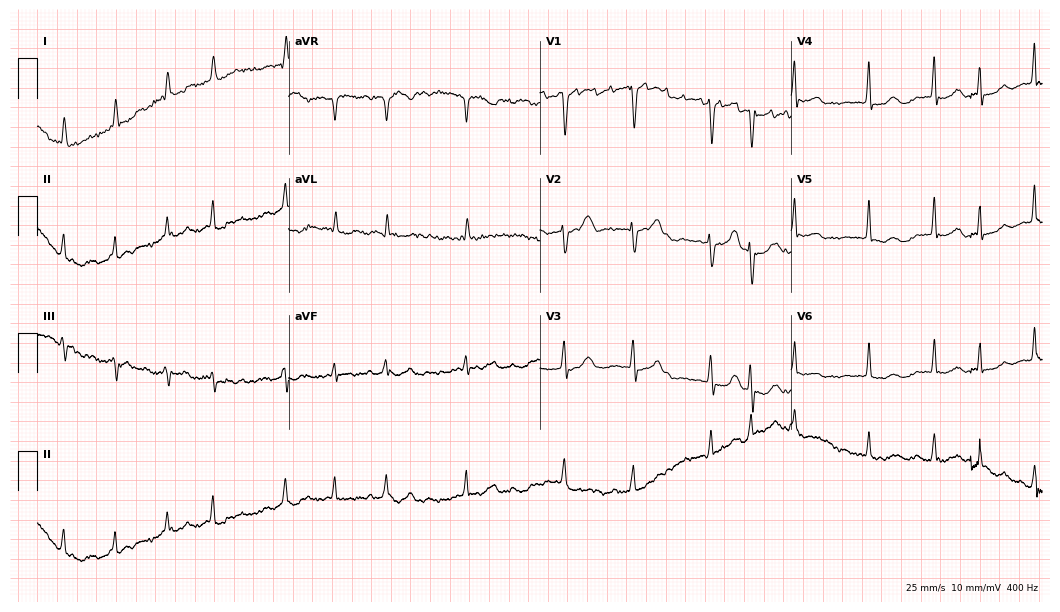
Electrocardiogram, a 73-year-old female. Of the six screened findings (first-degree AV block, right bundle branch block (RBBB), left bundle branch block (LBBB), sinus bradycardia, atrial fibrillation (AF), sinus tachycardia), none is recorded.